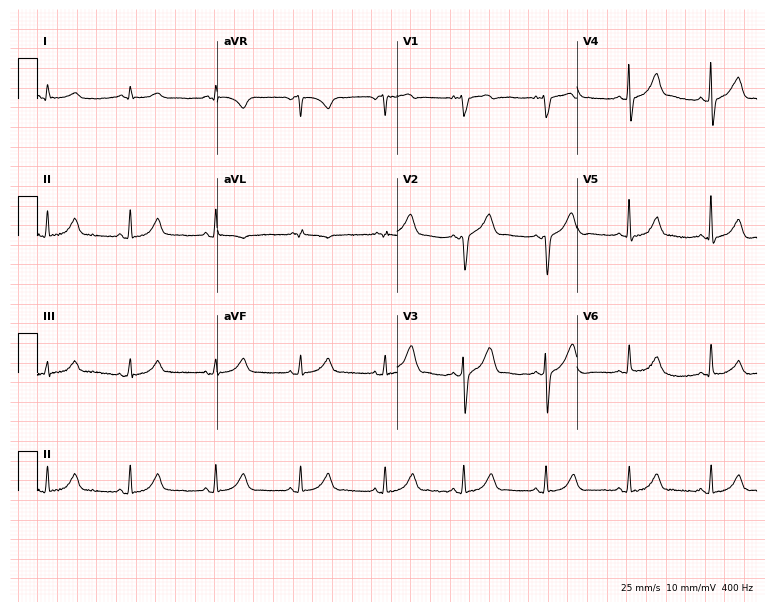
12-lead ECG from a man, 76 years old. No first-degree AV block, right bundle branch block, left bundle branch block, sinus bradycardia, atrial fibrillation or sinus tachycardia recorded for this tracing. Only these six findings were labelled.